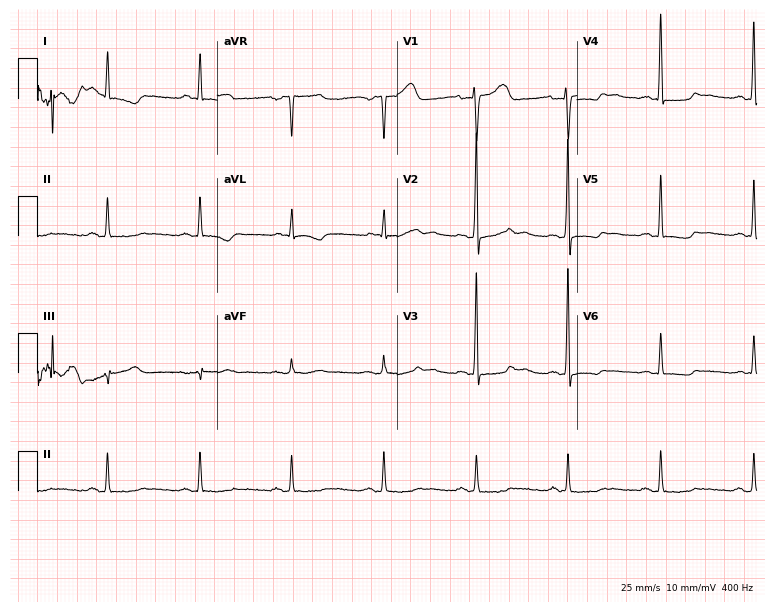
Electrocardiogram, a 66-year-old man. Of the six screened findings (first-degree AV block, right bundle branch block, left bundle branch block, sinus bradycardia, atrial fibrillation, sinus tachycardia), none is recorded. Findings outside these six are not listed.